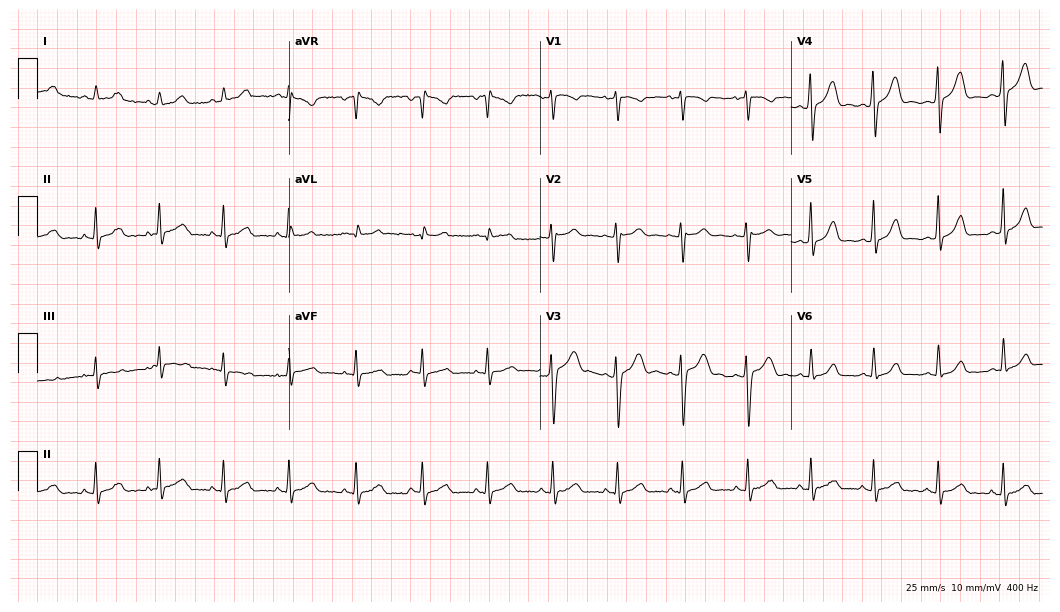
Electrocardiogram (10.2-second recording at 400 Hz), a woman, 19 years old. Of the six screened findings (first-degree AV block, right bundle branch block, left bundle branch block, sinus bradycardia, atrial fibrillation, sinus tachycardia), none is recorded.